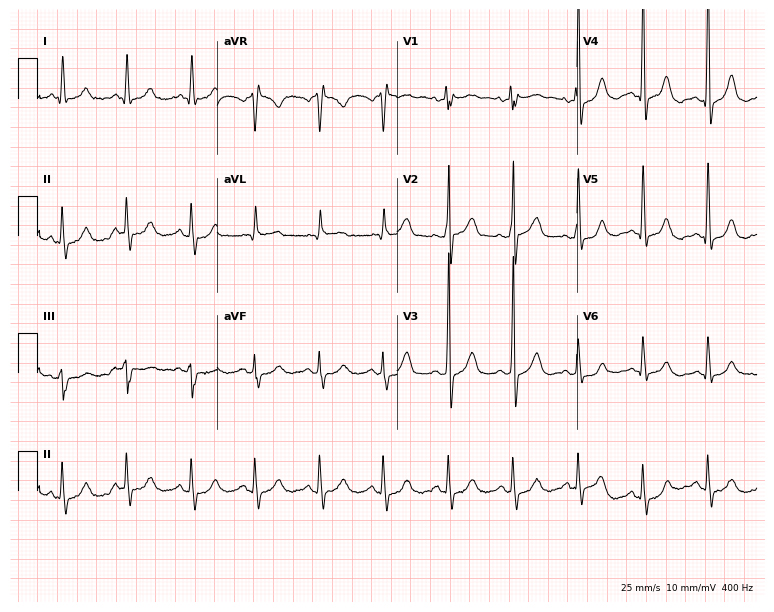
Resting 12-lead electrocardiogram. Patient: a male, 71 years old. None of these six findings is recorded: first-degree AV block, right bundle branch block, left bundle branch block, sinus bradycardia, atrial fibrillation, sinus tachycardia.